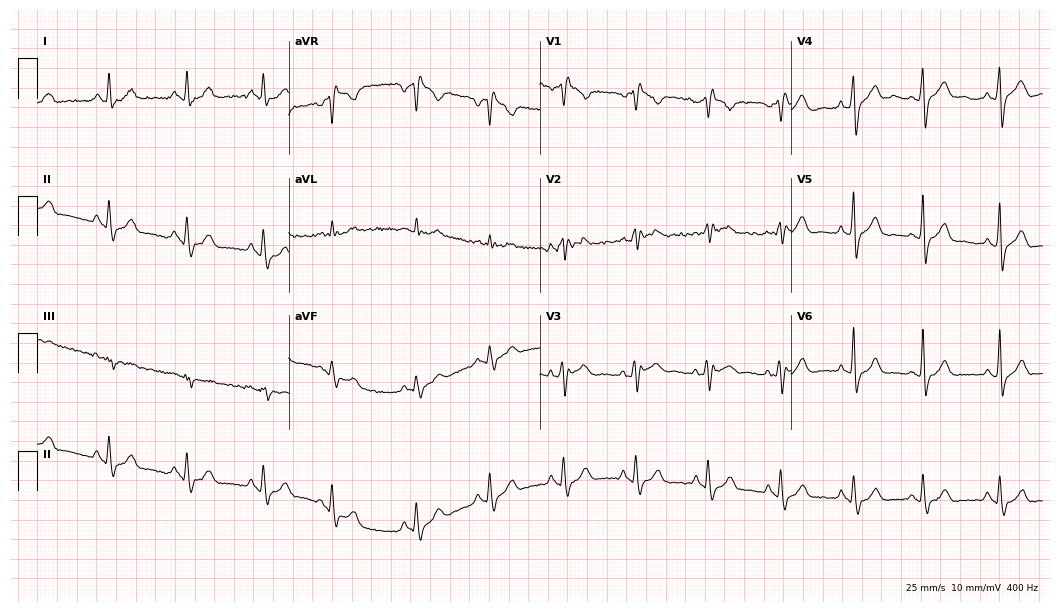
Standard 12-lead ECG recorded from a female patient, 41 years old (10.2-second recording at 400 Hz). The tracing shows right bundle branch block.